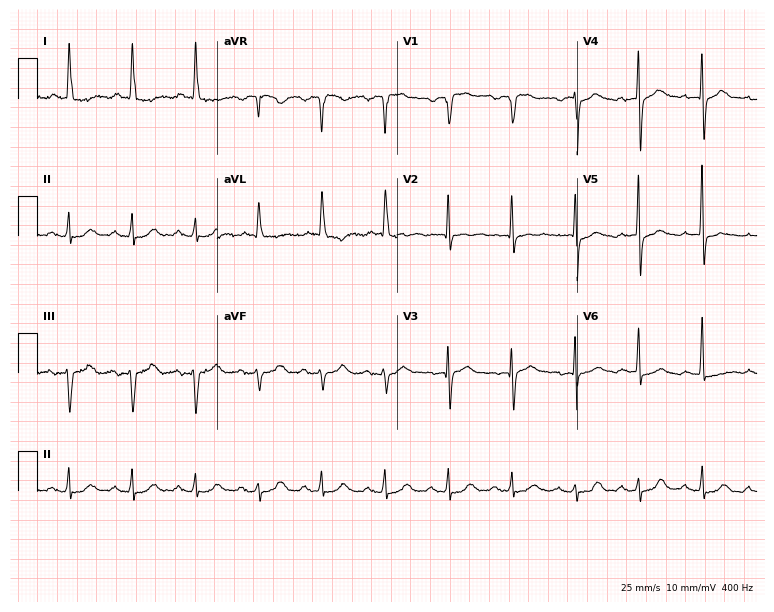
12-lead ECG from a female, 81 years old (7.3-second recording at 400 Hz). No first-degree AV block, right bundle branch block (RBBB), left bundle branch block (LBBB), sinus bradycardia, atrial fibrillation (AF) or sinus tachycardia recorded for this tracing.